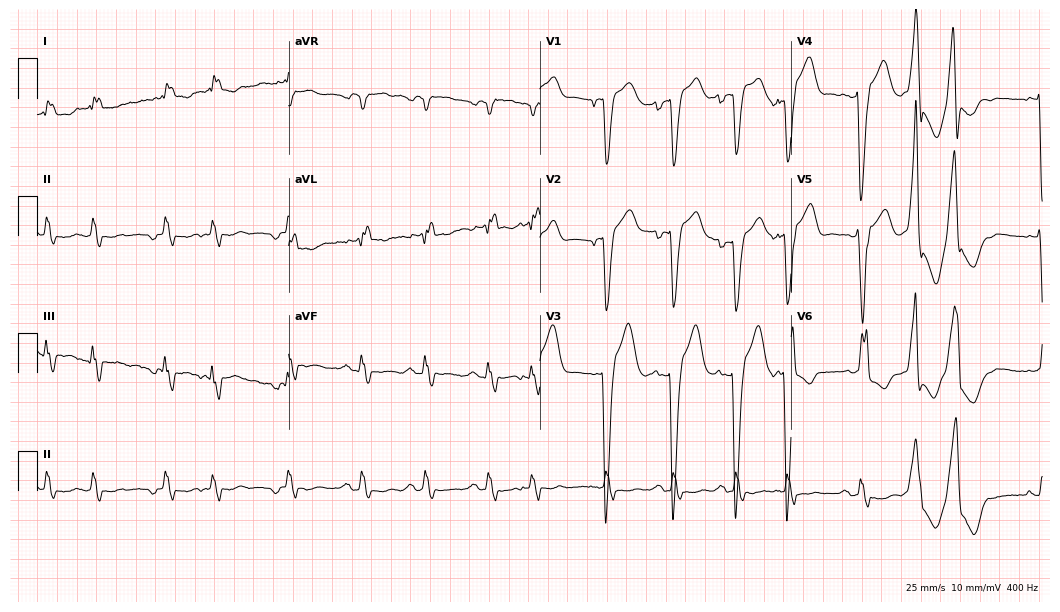
ECG — a 78-year-old male patient. Findings include left bundle branch block (LBBB).